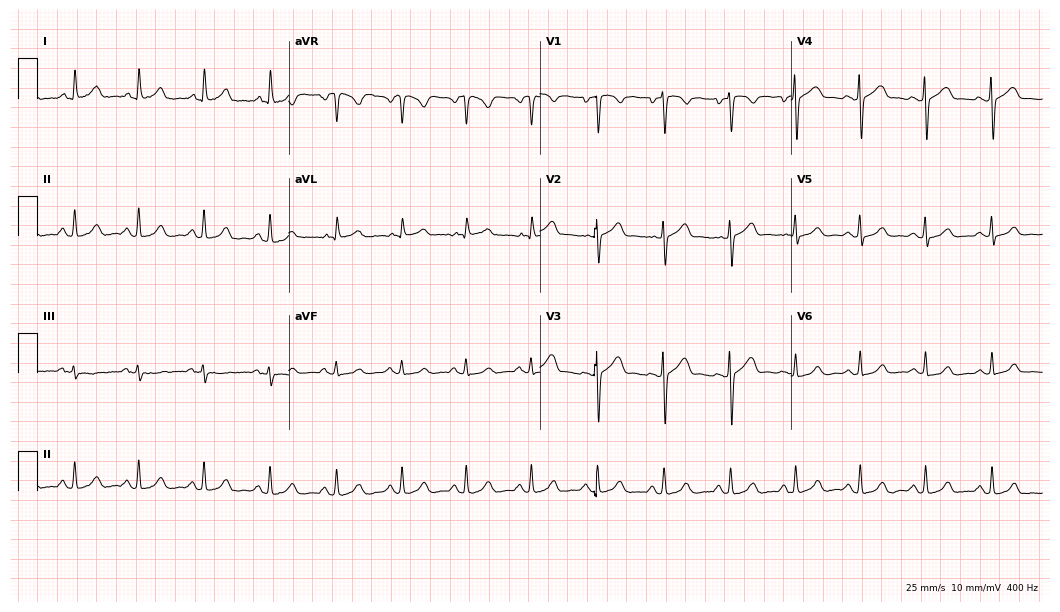
ECG (10.2-second recording at 400 Hz) — a 49-year-old woman. Labelled as a normal ECG.